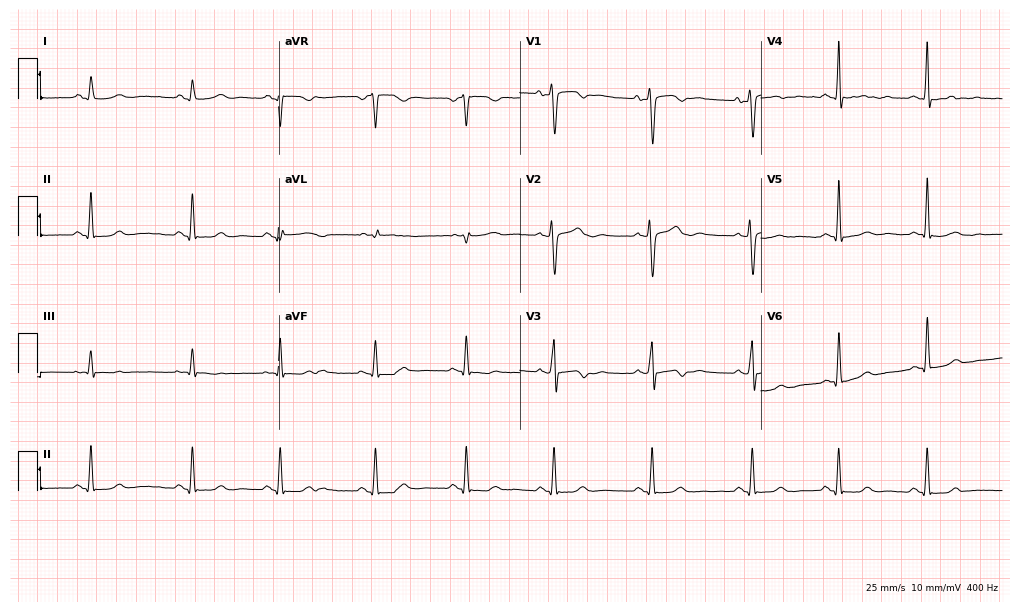
ECG (9.8-second recording at 400 Hz) — a 24-year-old female patient. Labelled as a normal ECG.